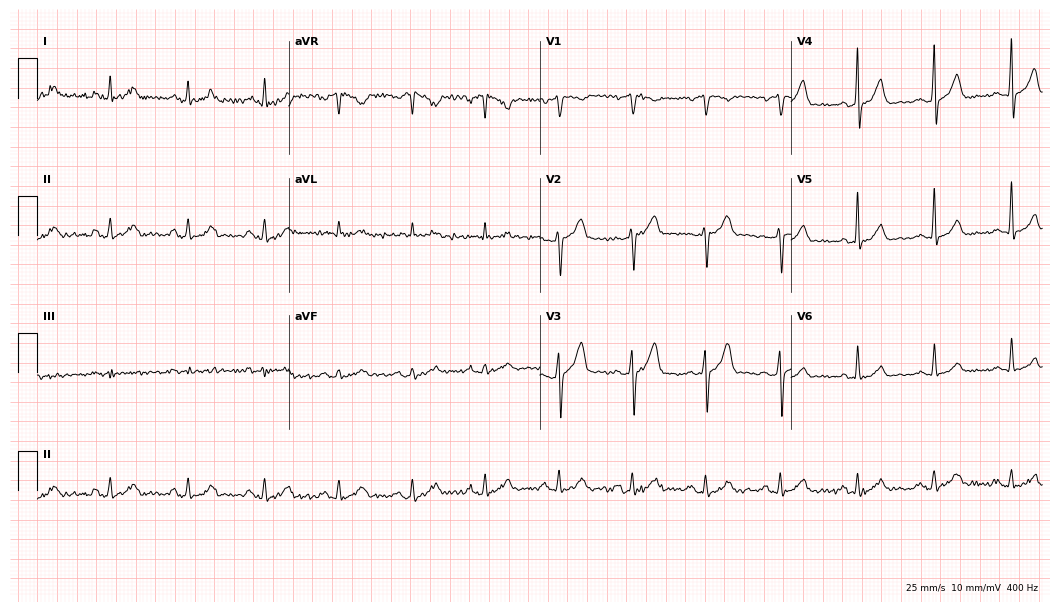
Resting 12-lead electrocardiogram (10.2-second recording at 400 Hz). Patient: a 49-year-old male. Read as a normal ECG.